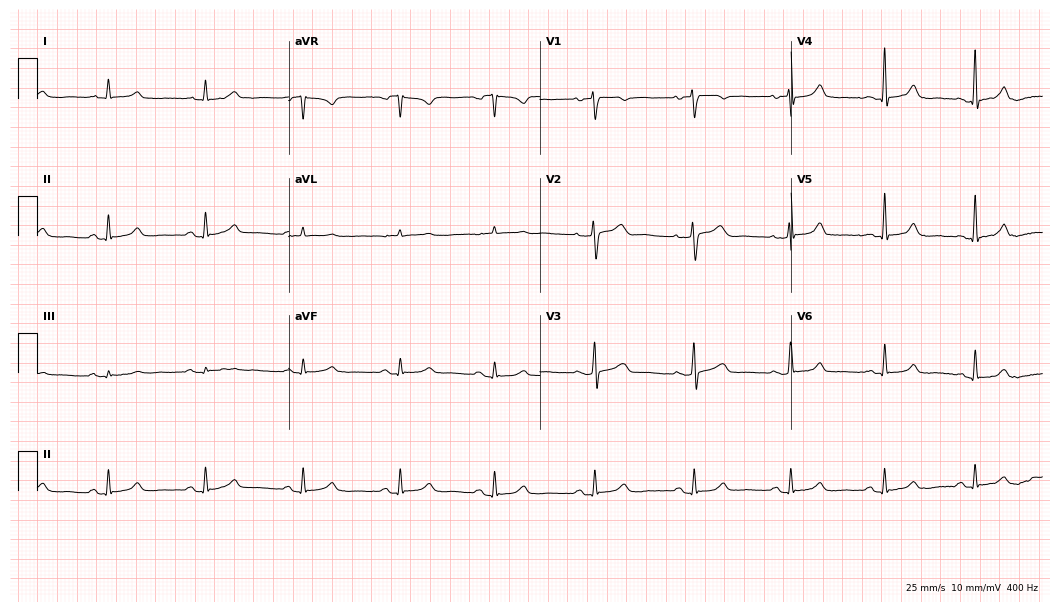
Resting 12-lead electrocardiogram (10.2-second recording at 400 Hz). Patient: a female, 43 years old. None of these six findings is recorded: first-degree AV block, right bundle branch block, left bundle branch block, sinus bradycardia, atrial fibrillation, sinus tachycardia.